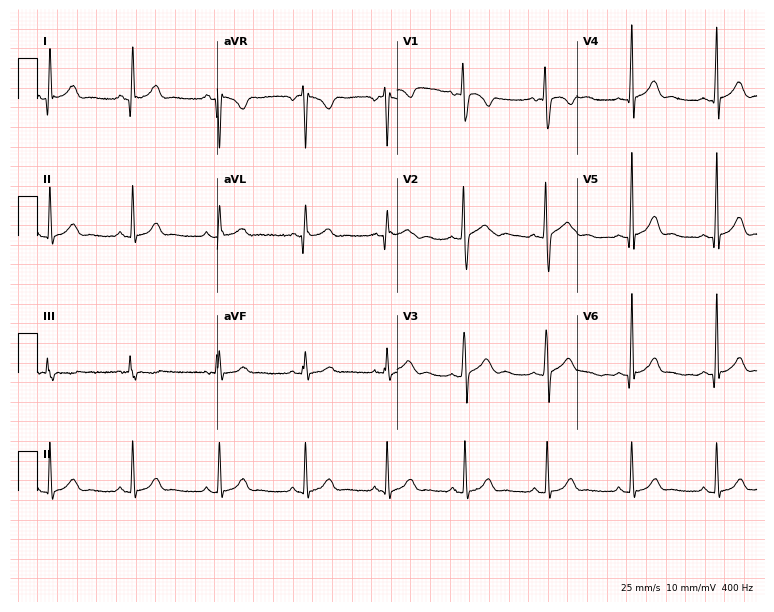
Resting 12-lead electrocardiogram (7.3-second recording at 400 Hz). Patient: a female, 17 years old. Read as a normal ECG.